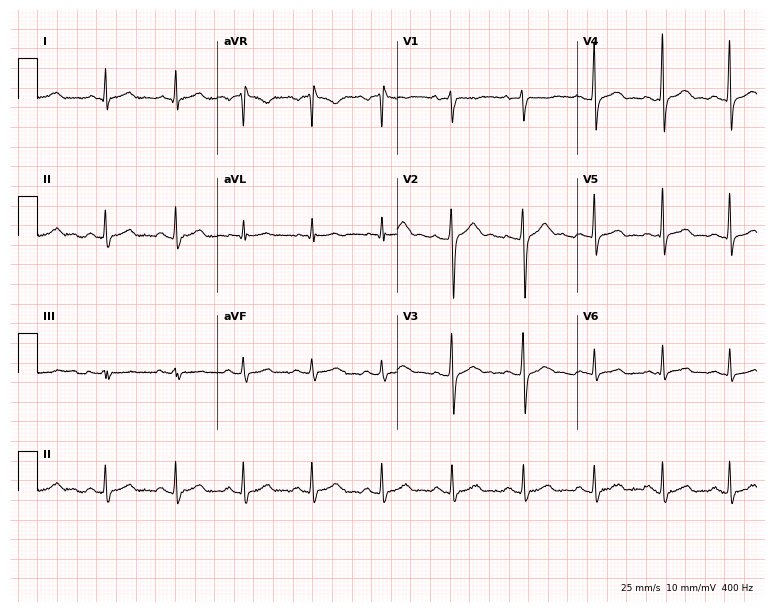
12-lead ECG (7.3-second recording at 400 Hz) from a male, 21 years old. Labelled as a normal ECG.